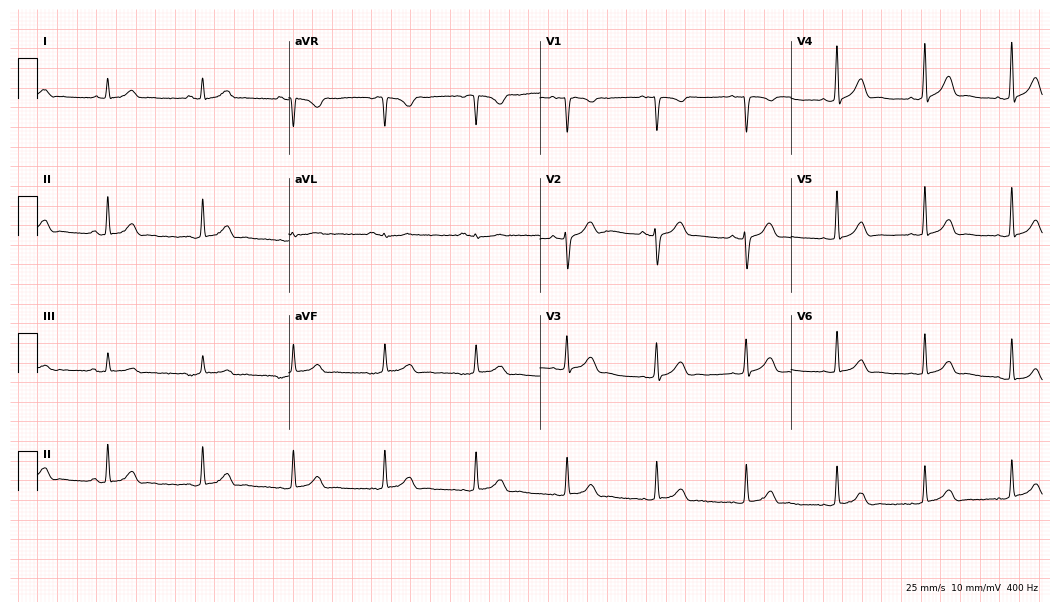
Standard 12-lead ECG recorded from a 39-year-old male patient (10.2-second recording at 400 Hz). Read as a normal ECG.